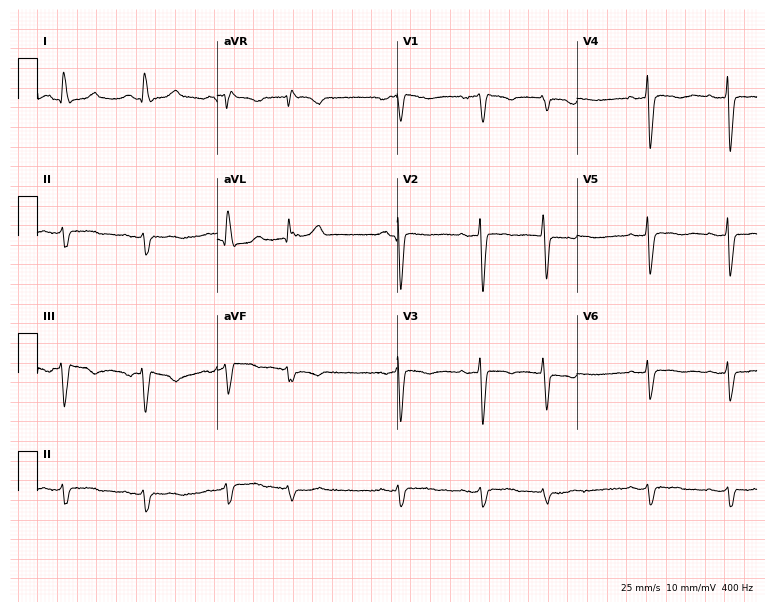
Electrocardiogram (7.3-second recording at 400 Hz), a woman, 65 years old. Of the six screened findings (first-degree AV block, right bundle branch block, left bundle branch block, sinus bradycardia, atrial fibrillation, sinus tachycardia), none is recorded.